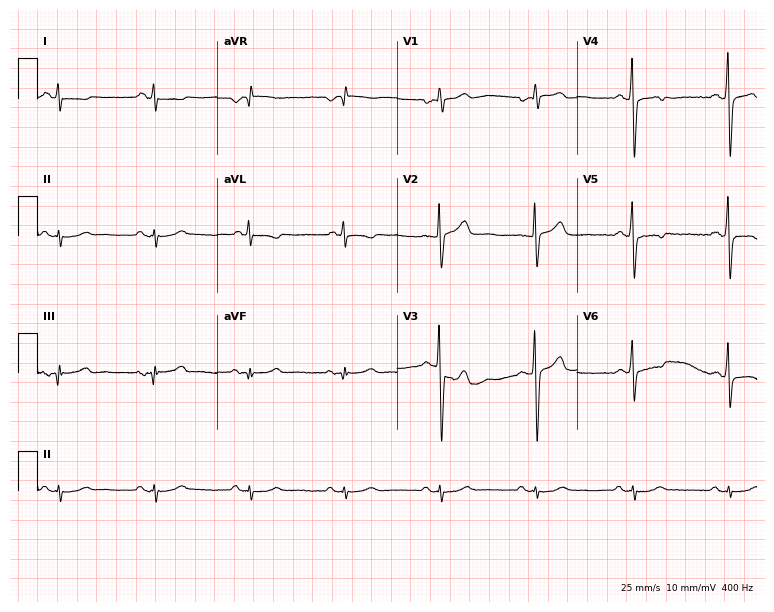
Standard 12-lead ECG recorded from a 51-year-old male patient (7.3-second recording at 400 Hz). None of these six findings is recorded: first-degree AV block, right bundle branch block (RBBB), left bundle branch block (LBBB), sinus bradycardia, atrial fibrillation (AF), sinus tachycardia. Only these six findings were labelled.